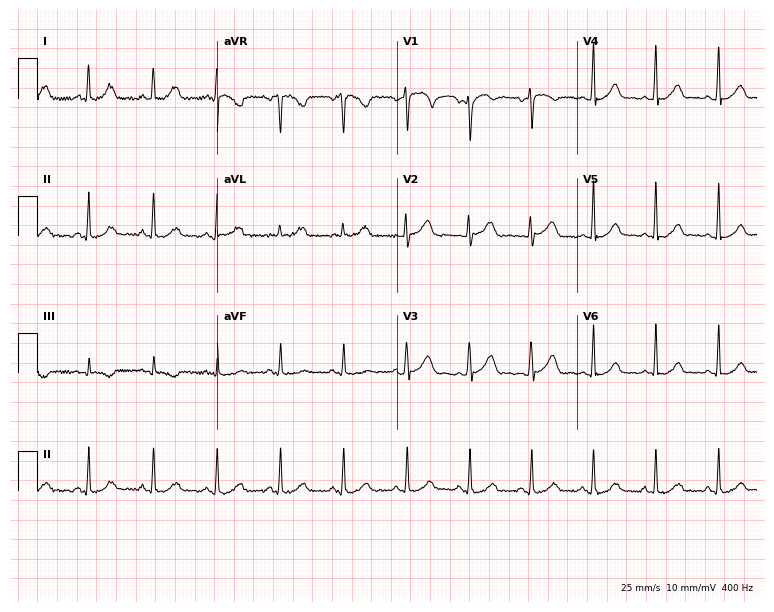
Standard 12-lead ECG recorded from a woman, 50 years old (7.3-second recording at 400 Hz). Read as a normal ECG.